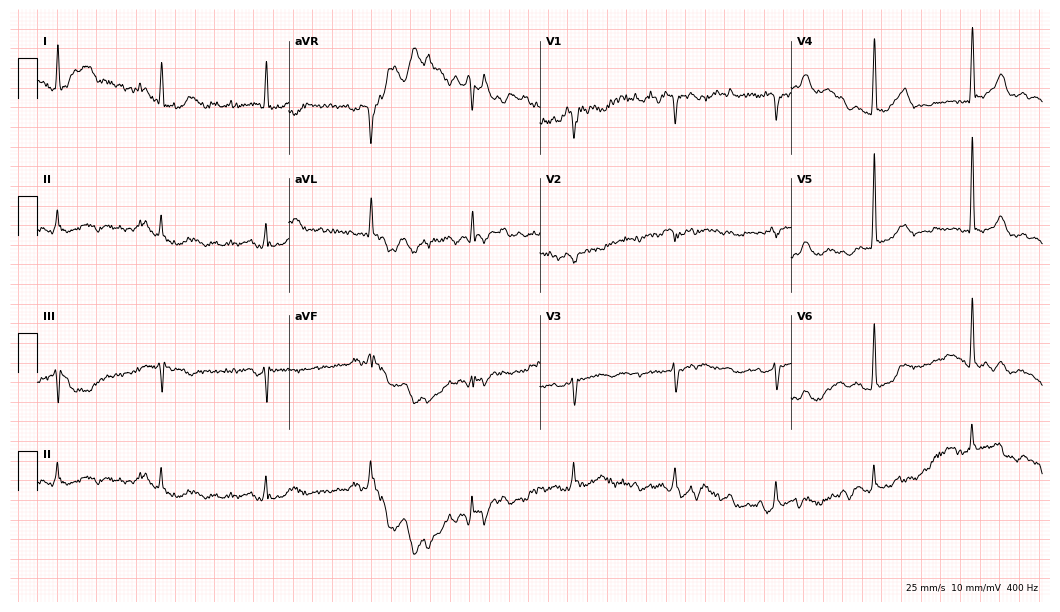
Standard 12-lead ECG recorded from an 85-year-old woman. None of these six findings is recorded: first-degree AV block, right bundle branch block, left bundle branch block, sinus bradycardia, atrial fibrillation, sinus tachycardia. Other findings, if any, are not listed.